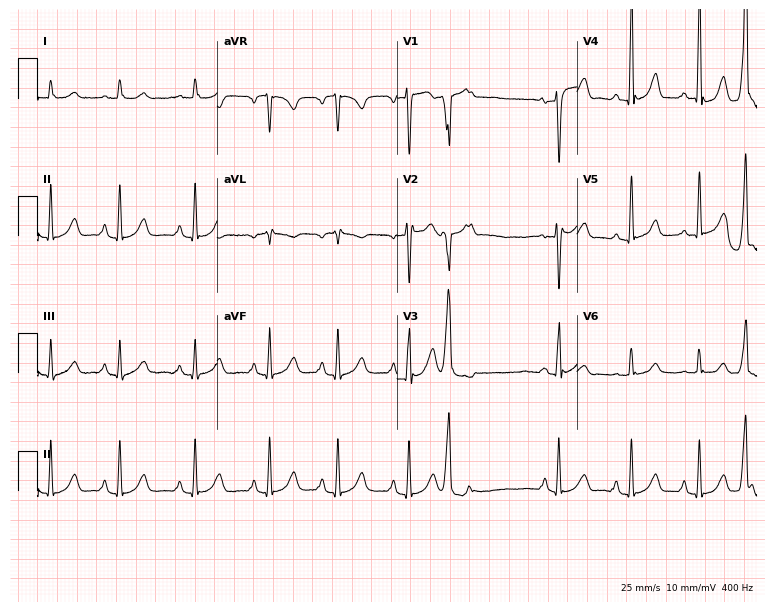
12-lead ECG from a female, 57 years old. No first-degree AV block, right bundle branch block (RBBB), left bundle branch block (LBBB), sinus bradycardia, atrial fibrillation (AF) or sinus tachycardia recorded for this tracing. Findings outside these six are not listed.